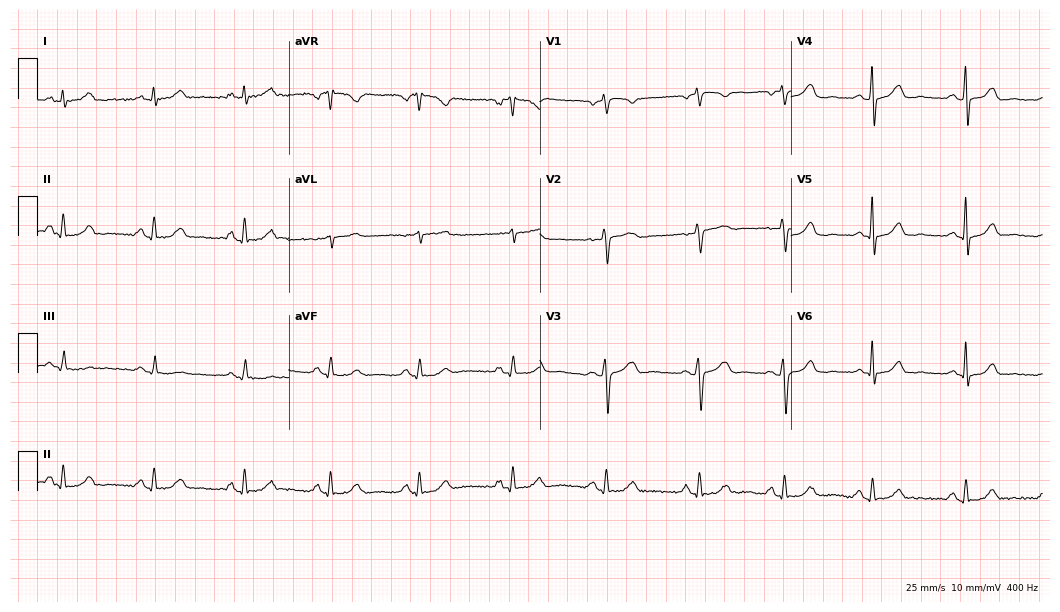
Electrocardiogram, a 53-year-old female. Overall reading on record: normal ECG.